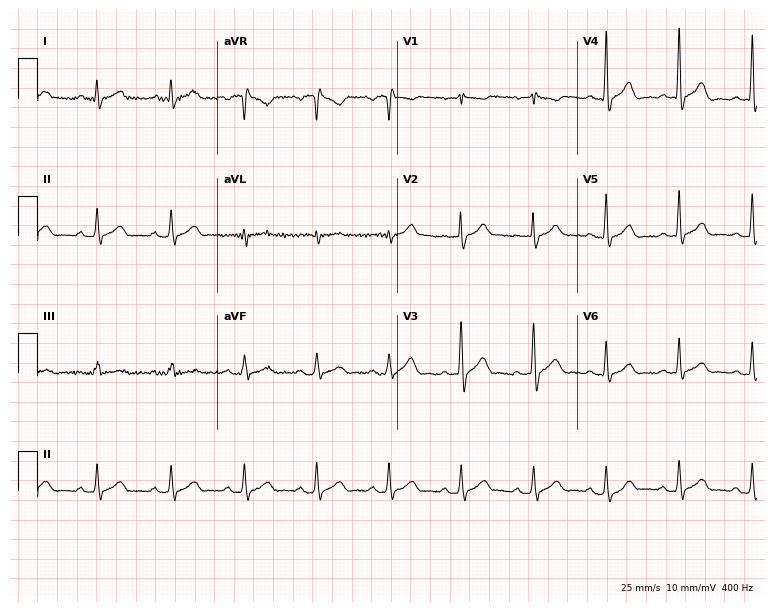
Standard 12-lead ECG recorded from a male patient, 71 years old. None of these six findings is recorded: first-degree AV block, right bundle branch block (RBBB), left bundle branch block (LBBB), sinus bradycardia, atrial fibrillation (AF), sinus tachycardia. Only these six findings were labelled.